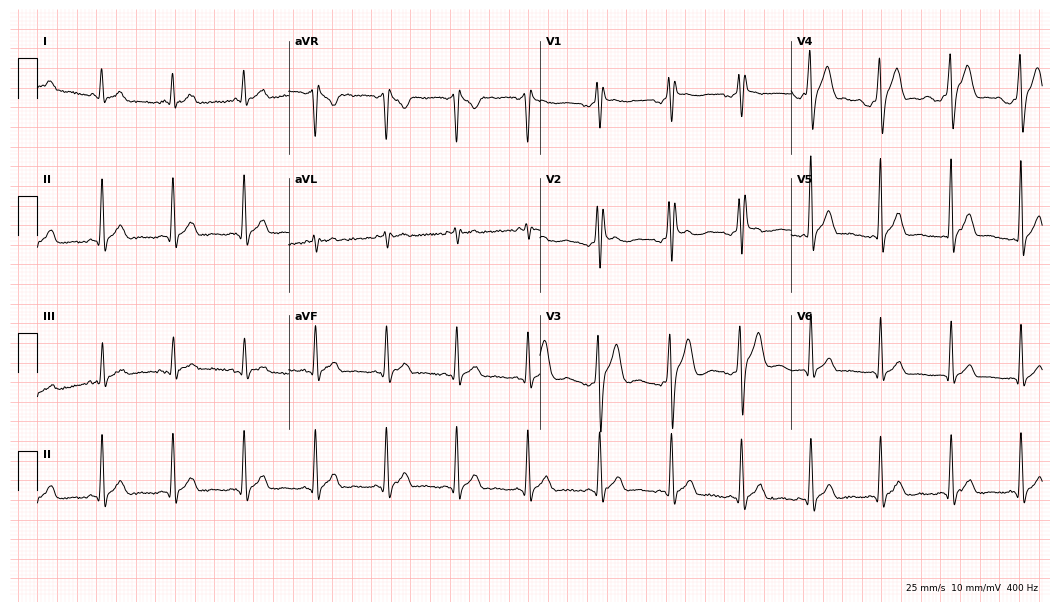
Resting 12-lead electrocardiogram (10.2-second recording at 400 Hz). Patient: a 25-year-old male. The tracing shows right bundle branch block.